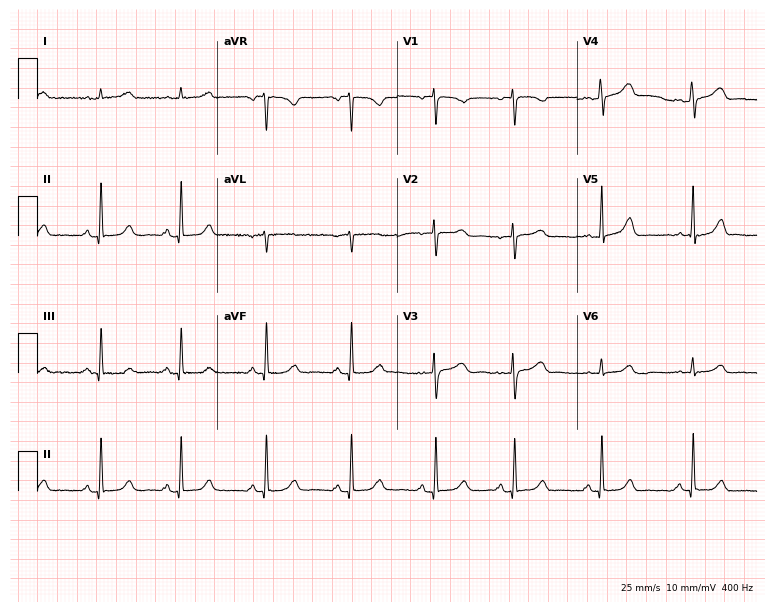
Resting 12-lead electrocardiogram. Patient: a 38-year-old woman. None of these six findings is recorded: first-degree AV block, right bundle branch block, left bundle branch block, sinus bradycardia, atrial fibrillation, sinus tachycardia.